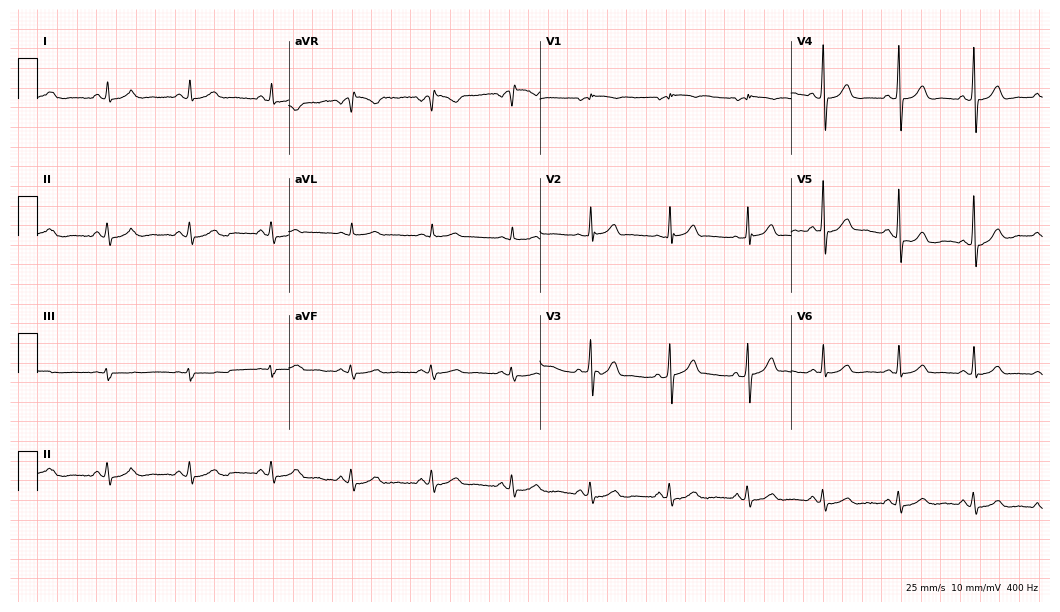
Standard 12-lead ECG recorded from a male patient, 72 years old (10.2-second recording at 400 Hz). None of these six findings is recorded: first-degree AV block, right bundle branch block (RBBB), left bundle branch block (LBBB), sinus bradycardia, atrial fibrillation (AF), sinus tachycardia. Findings outside these six are not listed.